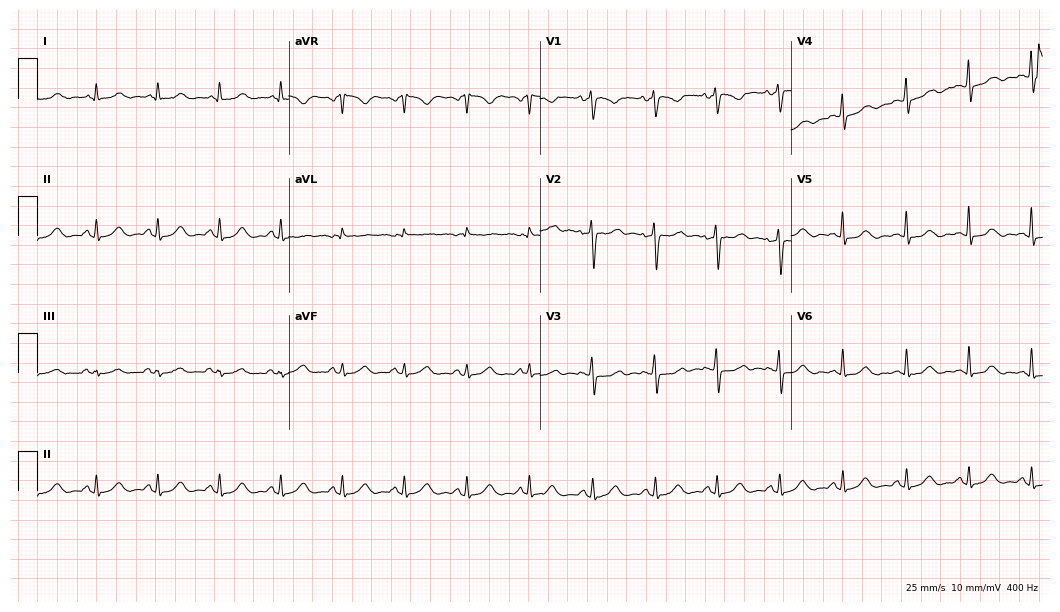
12-lead ECG from a 40-year-old woman (10.2-second recording at 400 Hz). No first-degree AV block, right bundle branch block, left bundle branch block, sinus bradycardia, atrial fibrillation or sinus tachycardia recorded for this tracing.